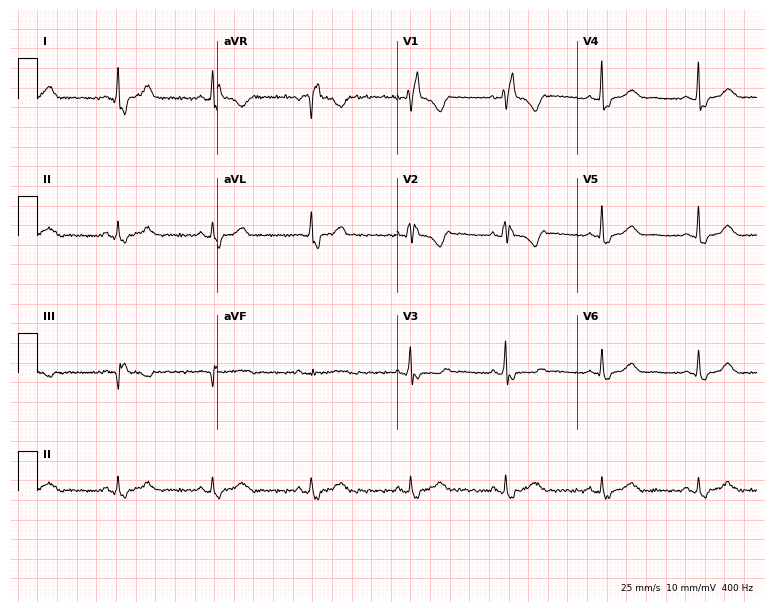
ECG — a female patient, 47 years old. Screened for six findings — first-degree AV block, right bundle branch block, left bundle branch block, sinus bradycardia, atrial fibrillation, sinus tachycardia — none is recorded.